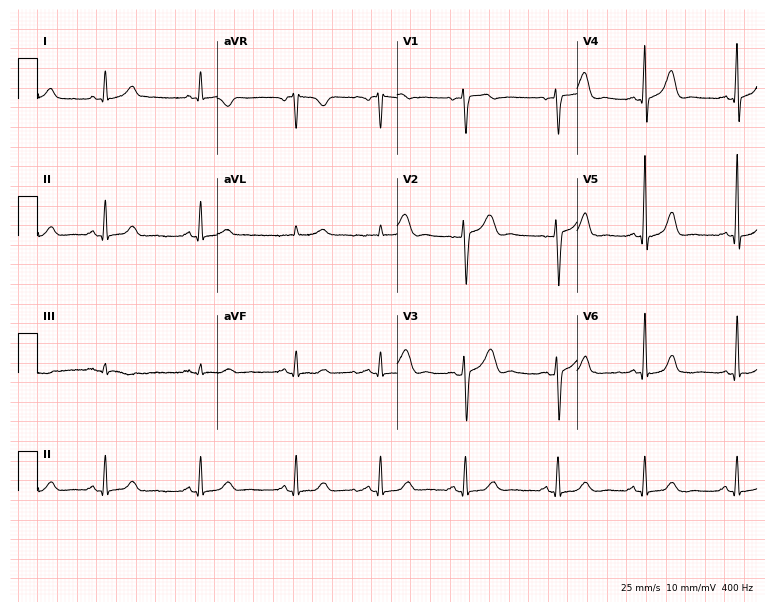
ECG (7.3-second recording at 400 Hz) — a female patient, 58 years old. Screened for six findings — first-degree AV block, right bundle branch block (RBBB), left bundle branch block (LBBB), sinus bradycardia, atrial fibrillation (AF), sinus tachycardia — none is recorded.